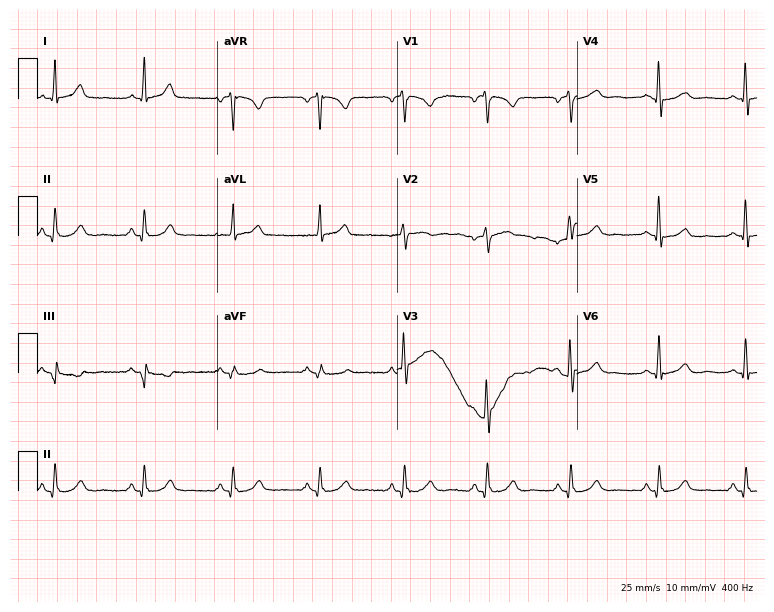
ECG — a 47-year-old female patient. Screened for six findings — first-degree AV block, right bundle branch block, left bundle branch block, sinus bradycardia, atrial fibrillation, sinus tachycardia — none is recorded. Findings outside these six are not listed.